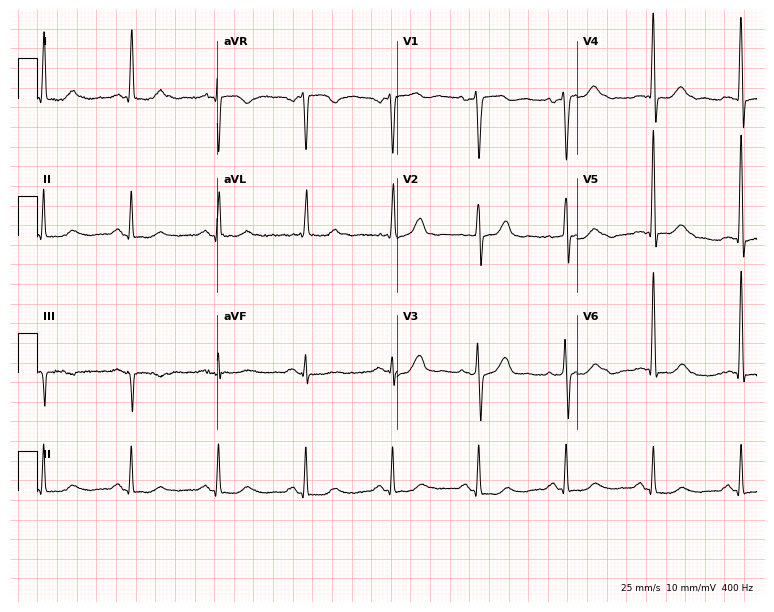
Standard 12-lead ECG recorded from a male, 55 years old. None of these six findings is recorded: first-degree AV block, right bundle branch block (RBBB), left bundle branch block (LBBB), sinus bradycardia, atrial fibrillation (AF), sinus tachycardia.